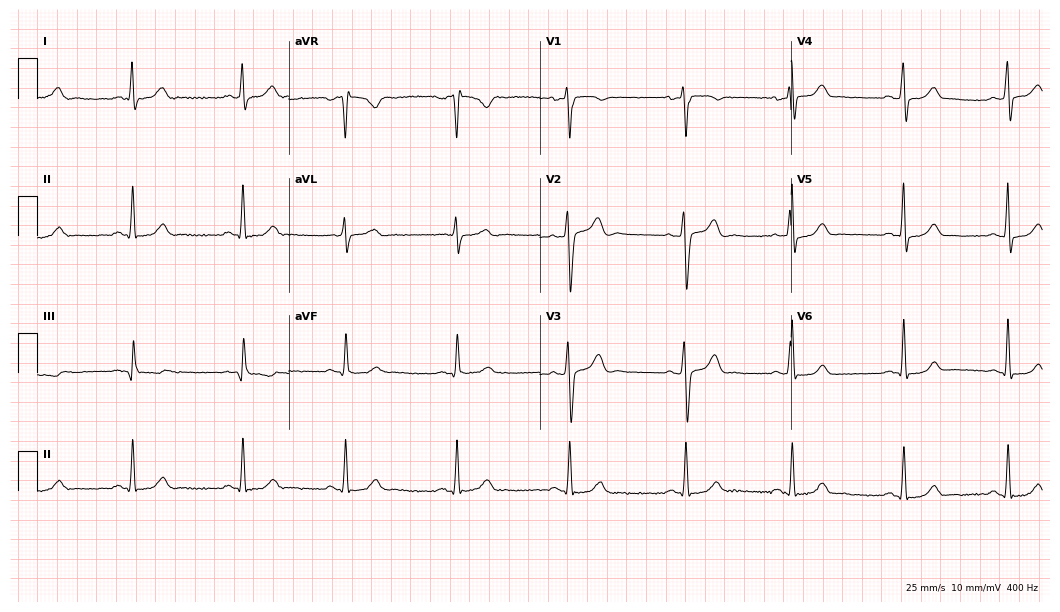
12-lead ECG from a 36-year-old male patient. No first-degree AV block, right bundle branch block, left bundle branch block, sinus bradycardia, atrial fibrillation or sinus tachycardia recorded for this tracing. Other findings, if any, are not listed.